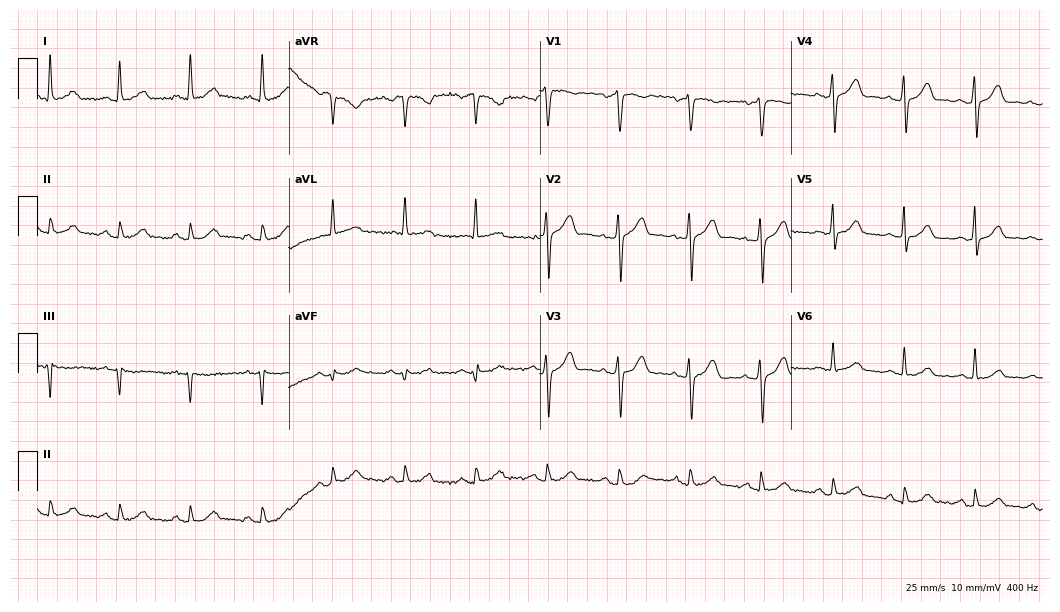
12-lead ECG from a 33-year-old male patient. Labelled as a normal ECG.